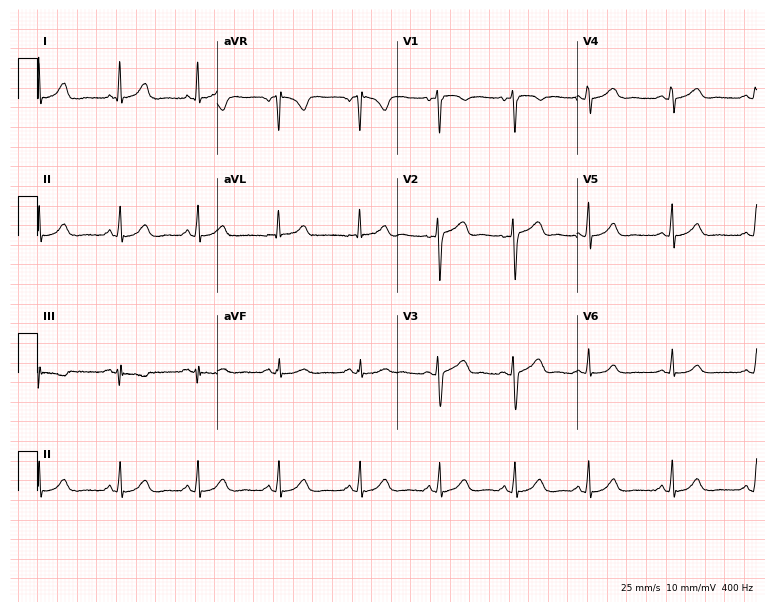
Standard 12-lead ECG recorded from a 42-year-old female patient (7.3-second recording at 400 Hz). None of these six findings is recorded: first-degree AV block, right bundle branch block (RBBB), left bundle branch block (LBBB), sinus bradycardia, atrial fibrillation (AF), sinus tachycardia.